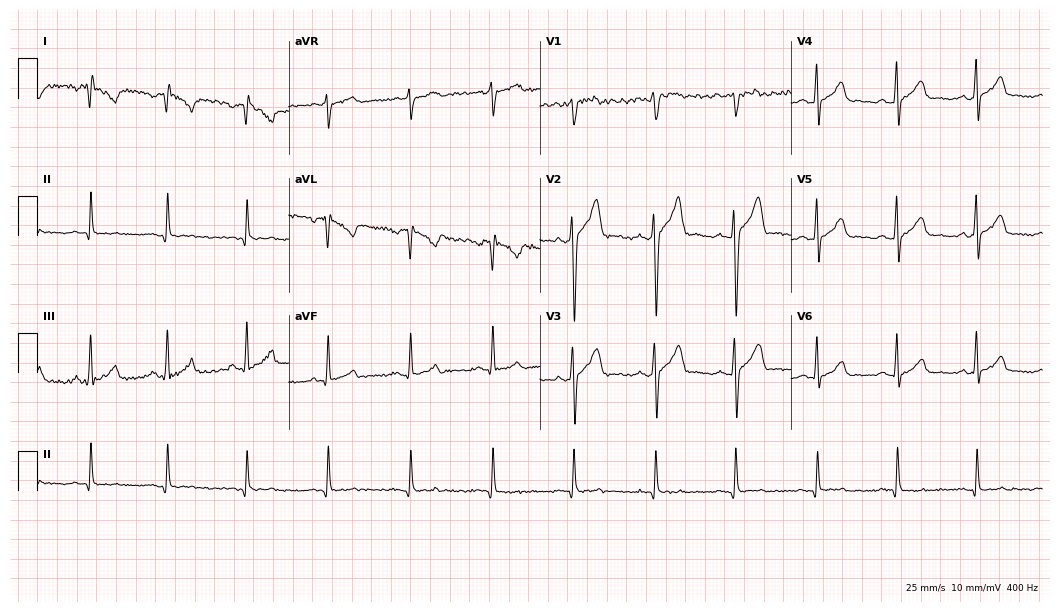
12-lead ECG from a 27-year-old male patient (10.2-second recording at 400 Hz). No first-degree AV block, right bundle branch block, left bundle branch block, sinus bradycardia, atrial fibrillation or sinus tachycardia recorded for this tracing.